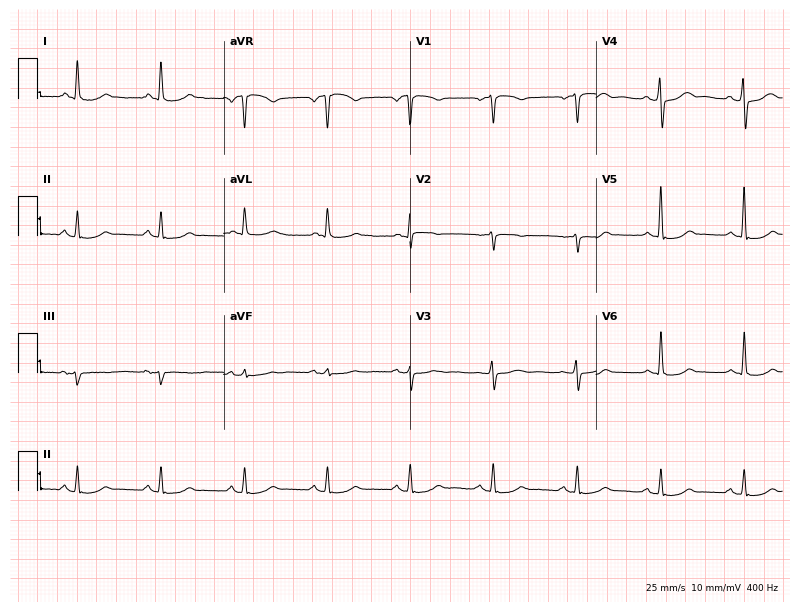
Electrocardiogram, a female, 49 years old. Of the six screened findings (first-degree AV block, right bundle branch block, left bundle branch block, sinus bradycardia, atrial fibrillation, sinus tachycardia), none is recorded.